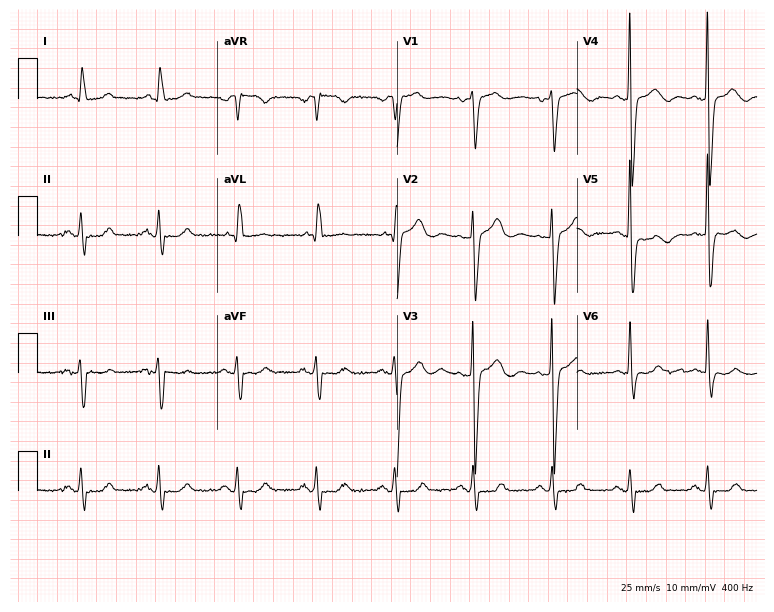
Resting 12-lead electrocardiogram (7.3-second recording at 400 Hz). Patient: a female, 61 years old. None of these six findings is recorded: first-degree AV block, right bundle branch block, left bundle branch block, sinus bradycardia, atrial fibrillation, sinus tachycardia.